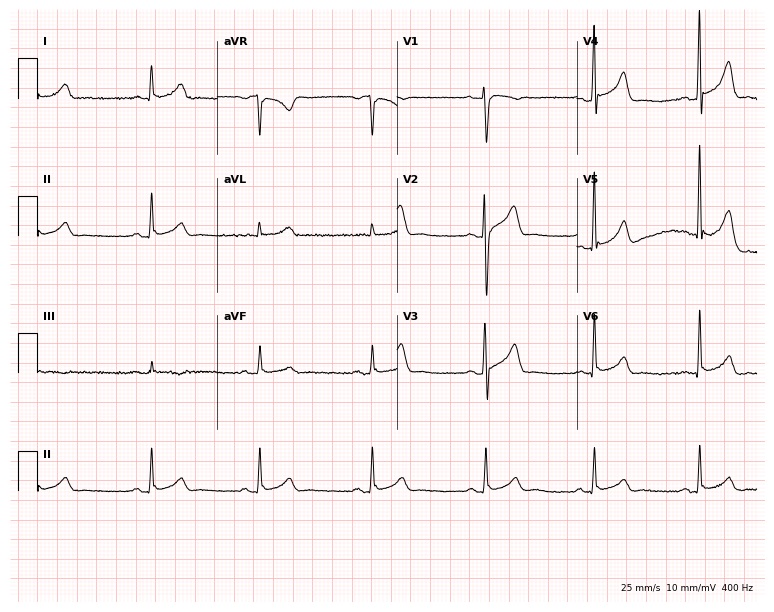
12-lead ECG from a male patient, 44 years old (7.3-second recording at 400 Hz). Recorded interpretation: within normal limits.